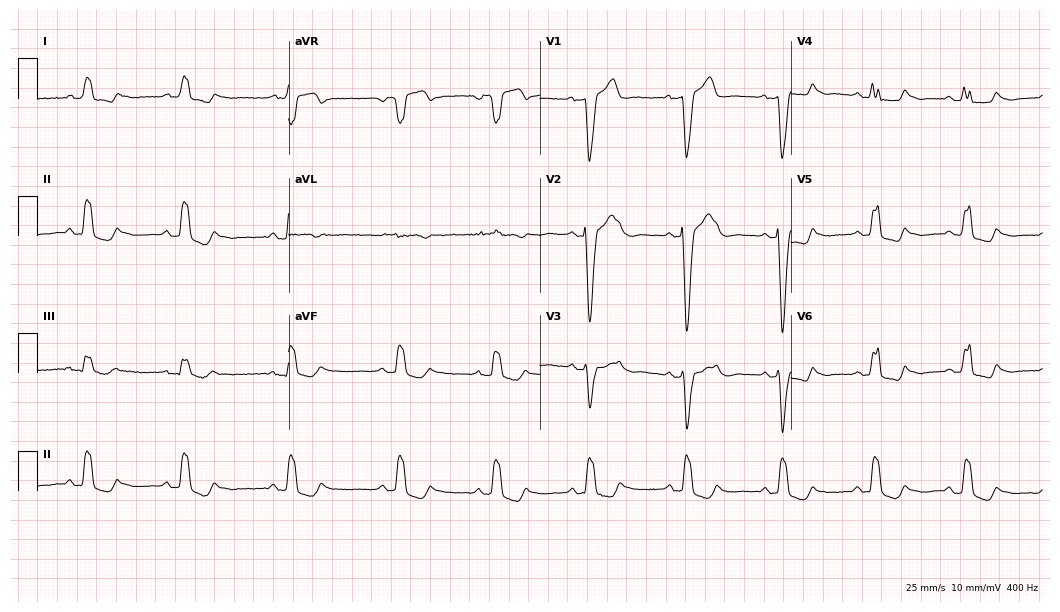
12-lead ECG from a 67-year-old man (10.2-second recording at 400 Hz). Shows left bundle branch block (LBBB).